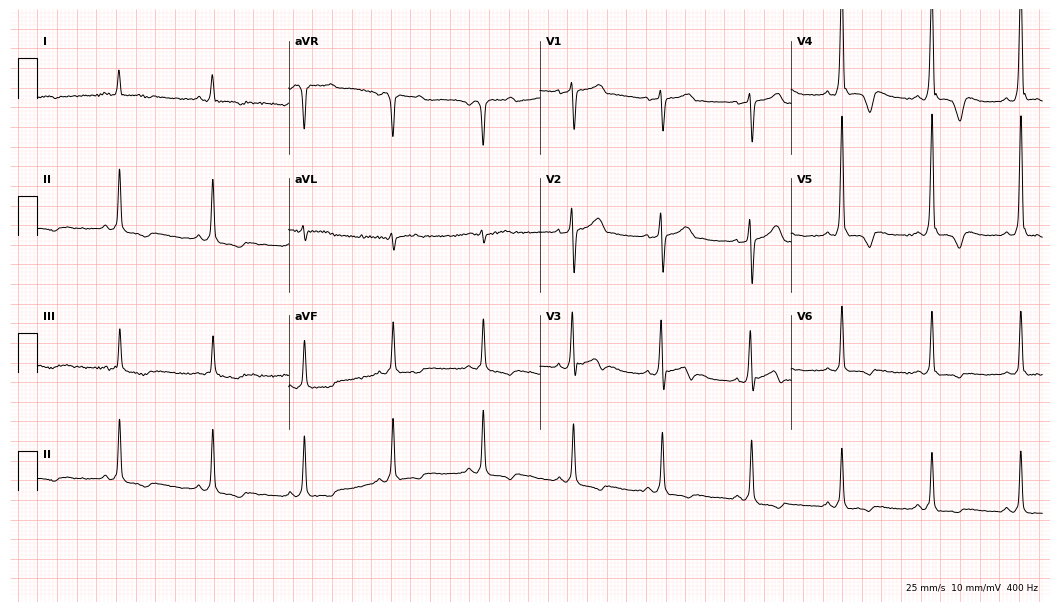
Resting 12-lead electrocardiogram. Patient: a 41-year-old male. None of these six findings is recorded: first-degree AV block, right bundle branch block, left bundle branch block, sinus bradycardia, atrial fibrillation, sinus tachycardia. Other findings, if any, are not listed.